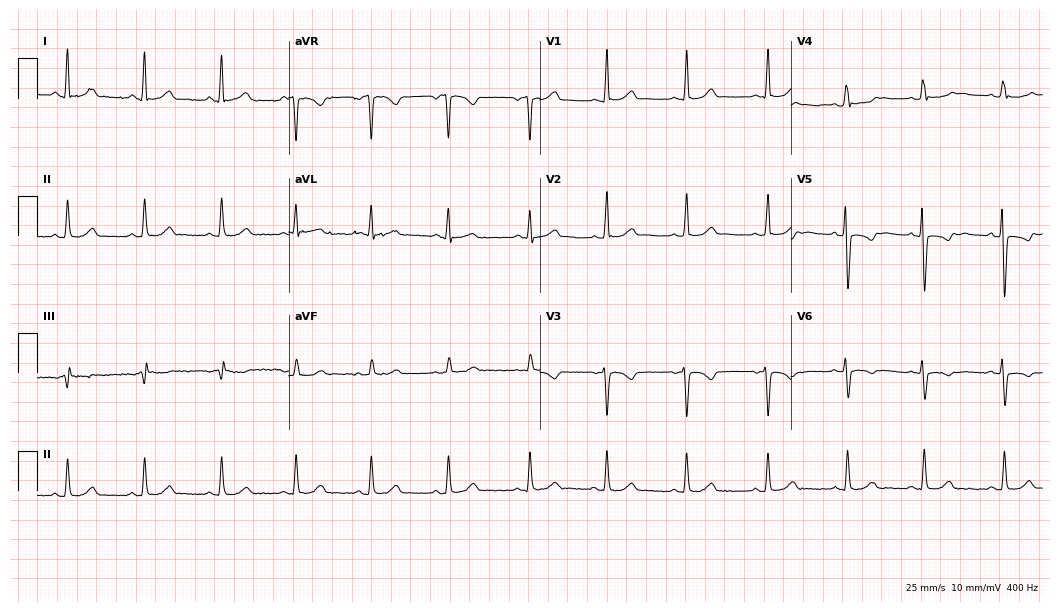
Standard 12-lead ECG recorded from a female, 24 years old. None of these six findings is recorded: first-degree AV block, right bundle branch block, left bundle branch block, sinus bradycardia, atrial fibrillation, sinus tachycardia.